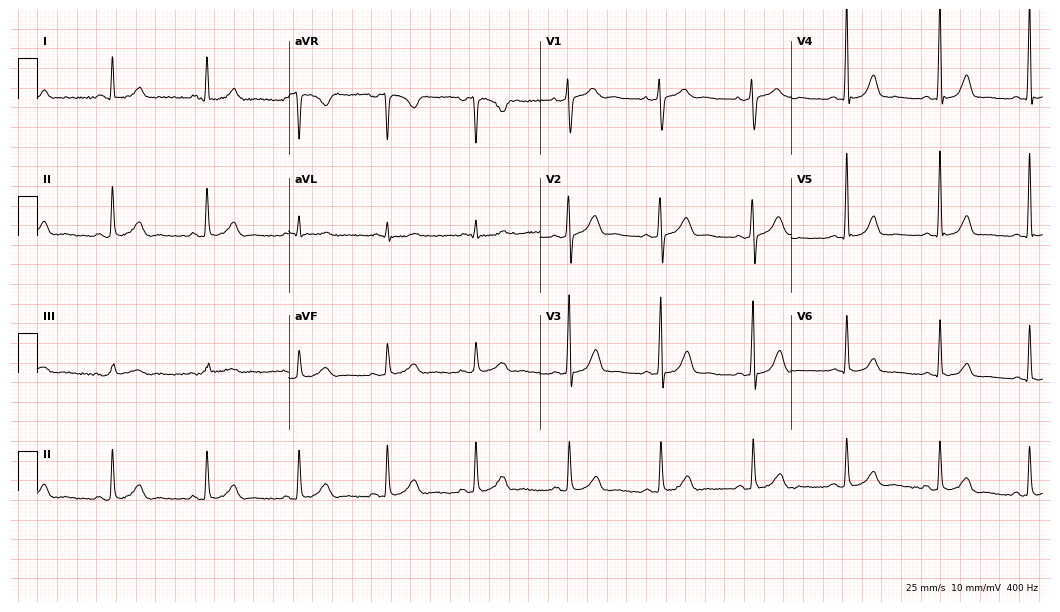
Resting 12-lead electrocardiogram. Patient: a man, 39 years old. None of these six findings is recorded: first-degree AV block, right bundle branch block, left bundle branch block, sinus bradycardia, atrial fibrillation, sinus tachycardia. Findings outside these six are not listed.